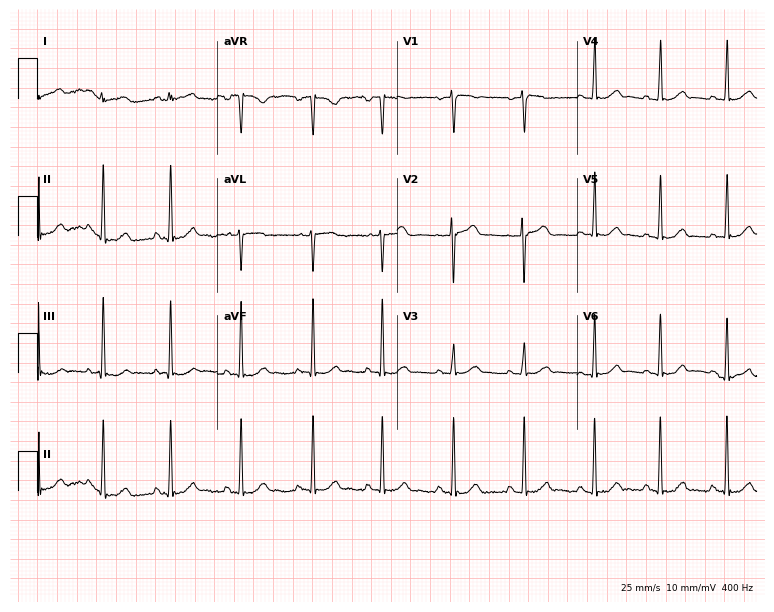
ECG (7.3-second recording at 400 Hz) — a 19-year-old female patient. Screened for six findings — first-degree AV block, right bundle branch block, left bundle branch block, sinus bradycardia, atrial fibrillation, sinus tachycardia — none is recorded.